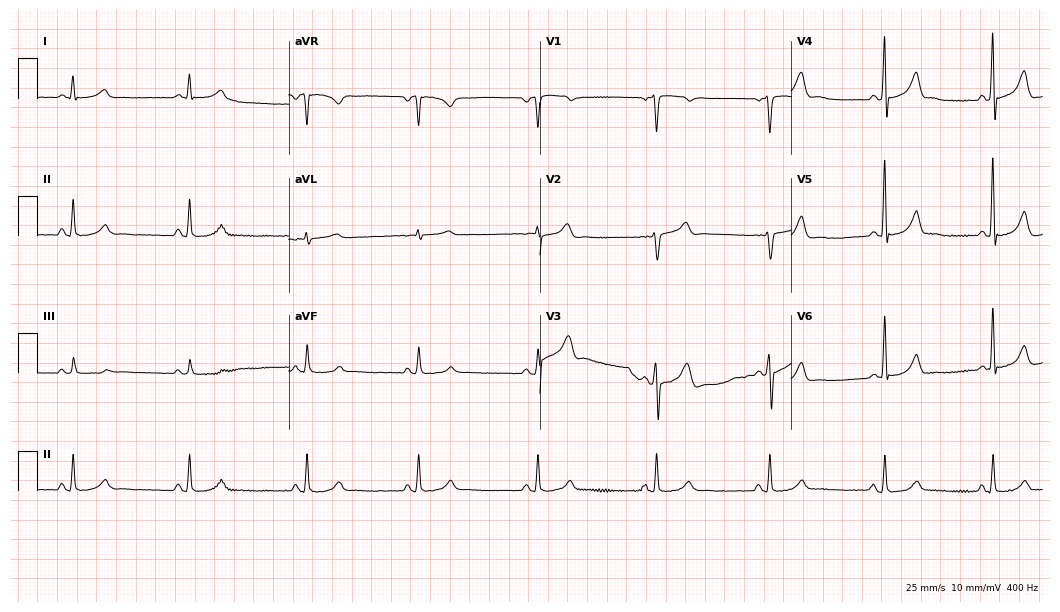
ECG — a 58-year-old man. Screened for six findings — first-degree AV block, right bundle branch block (RBBB), left bundle branch block (LBBB), sinus bradycardia, atrial fibrillation (AF), sinus tachycardia — none is recorded. Other findings, if any, are not listed.